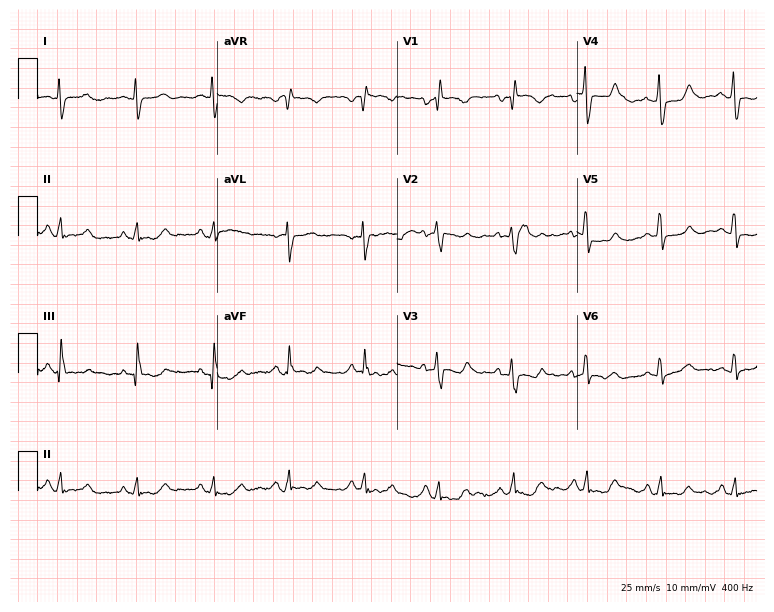
12-lead ECG from an 85-year-old woman. No first-degree AV block, right bundle branch block, left bundle branch block, sinus bradycardia, atrial fibrillation or sinus tachycardia recorded for this tracing. Other findings, if any, are not listed.